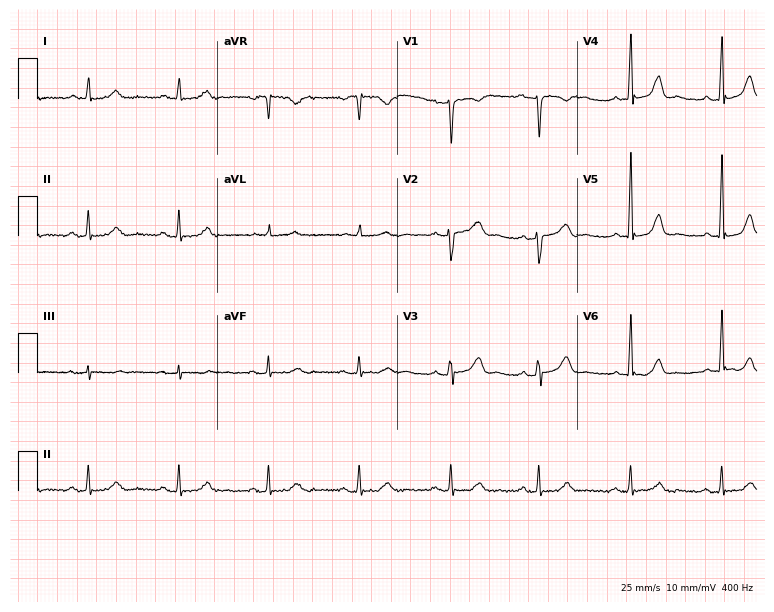
12-lead ECG from a female, 52 years old. Labelled as a normal ECG.